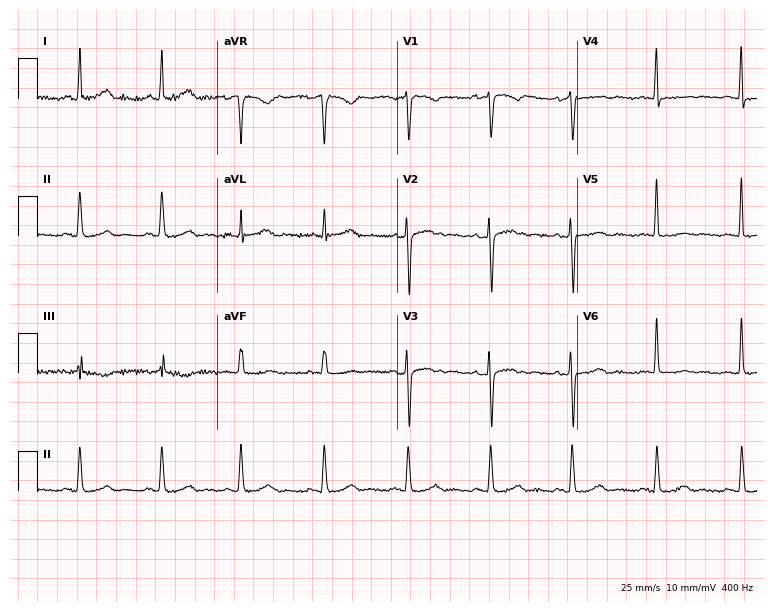
Standard 12-lead ECG recorded from a 53-year-old woman (7.3-second recording at 400 Hz). None of these six findings is recorded: first-degree AV block, right bundle branch block, left bundle branch block, sinus bradycardia, atrial fibrillation, sinus tachycardia. Findings outside these six are not listed.